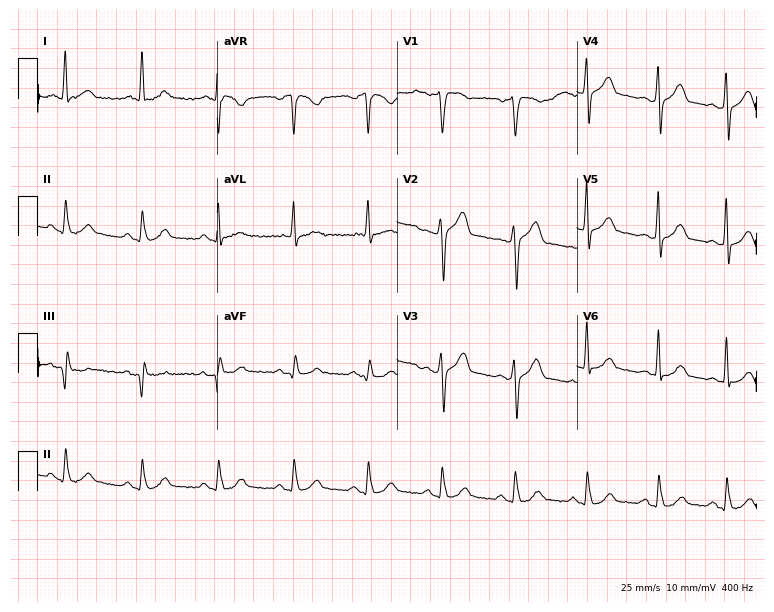
ECG (7.3-second recording at 400 Hz) — a male, 56 years old. Screened for six findings — first-degree AV block, right bundle branch block (RBBB), left bundle branch block (LBBB), sinus bradycardia, atrial fibrillation (AF), sinus tachycardia — none is recorded.